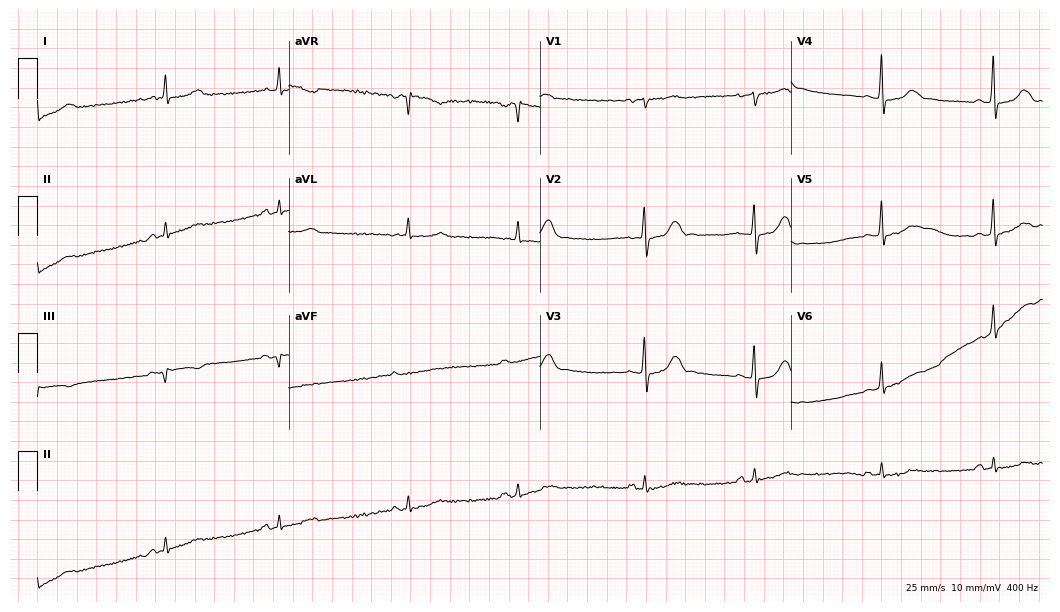
ECG (10.2-second recording at 400 Hz) — a female, 81 years old. Screened for six findings — first-degree AV block, right bundle branch block (RBBB), left bundle branch block (LBBB), sinus bradycardia, atrial fibrillation (AF), sinus tachycardia — none is recorded. Only these six findings were labelled.